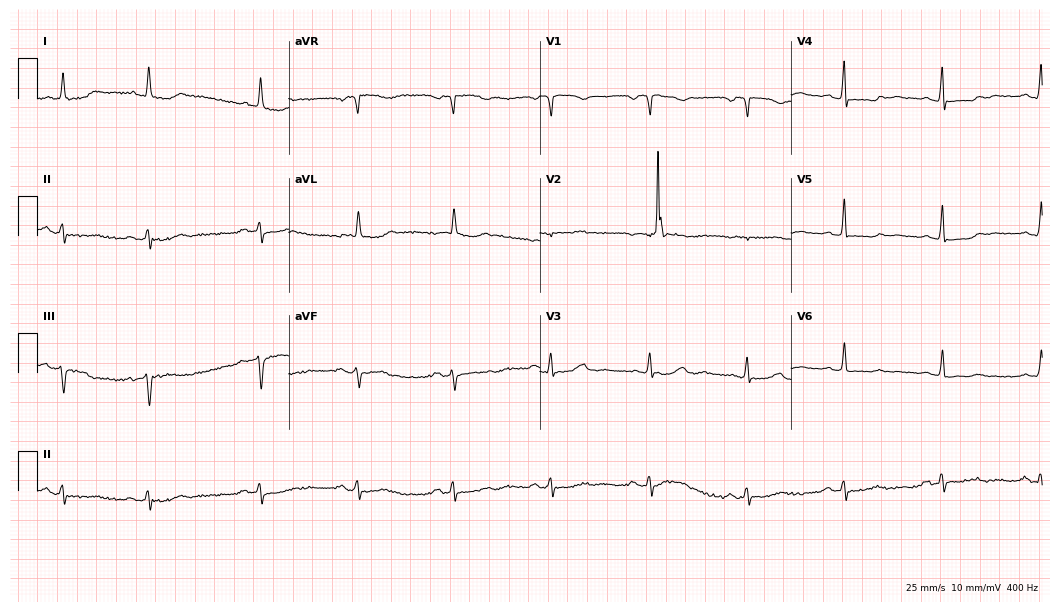
12-lead ECG from a woman, 75 years old. Screened for six findings — first-degree AV block, right bundle branch block (RBBB), left bundle branch block (LBBB), sinus bradycardia, atrial fibrillation (AF), sinus tachycardia — none is recorded.